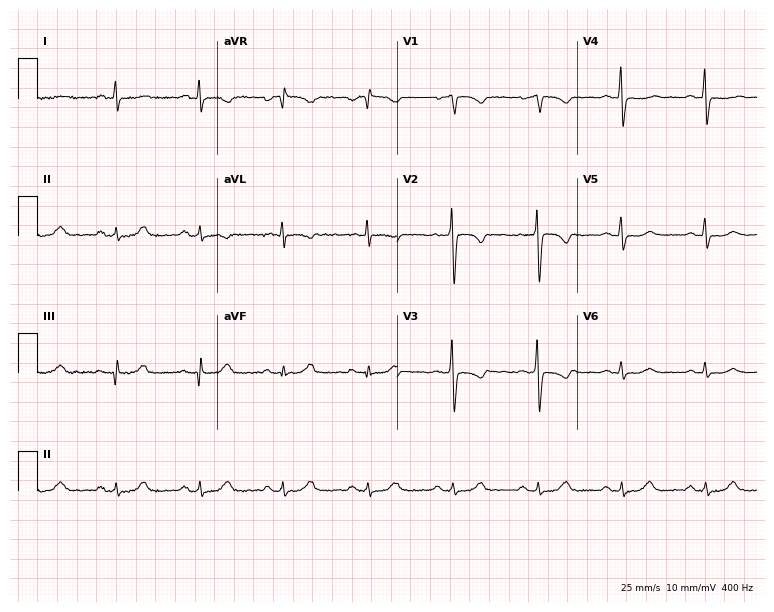
12-lead ECG from a 59-year-old woman. Labelled as a normal ECG.